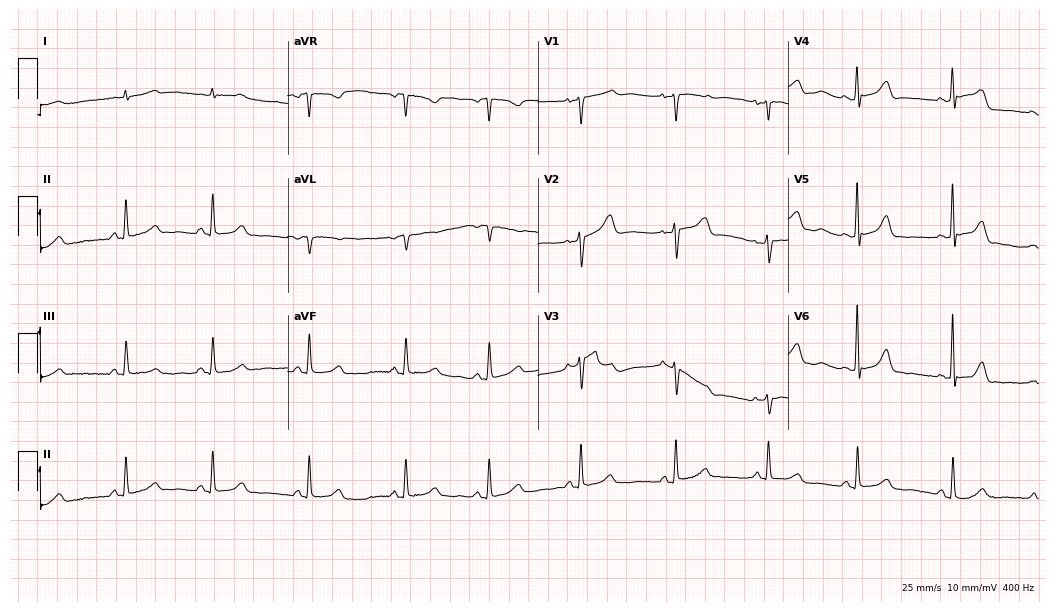
12-lead ECG from a woman, 72 years old. Screened for six findings — first-degree AV block, right bundle branch block, left bundle branch block, sinus bradycardia, atrial fibrillation, sinus tachycardia — none is recorded. Findings outside these six are not listed.